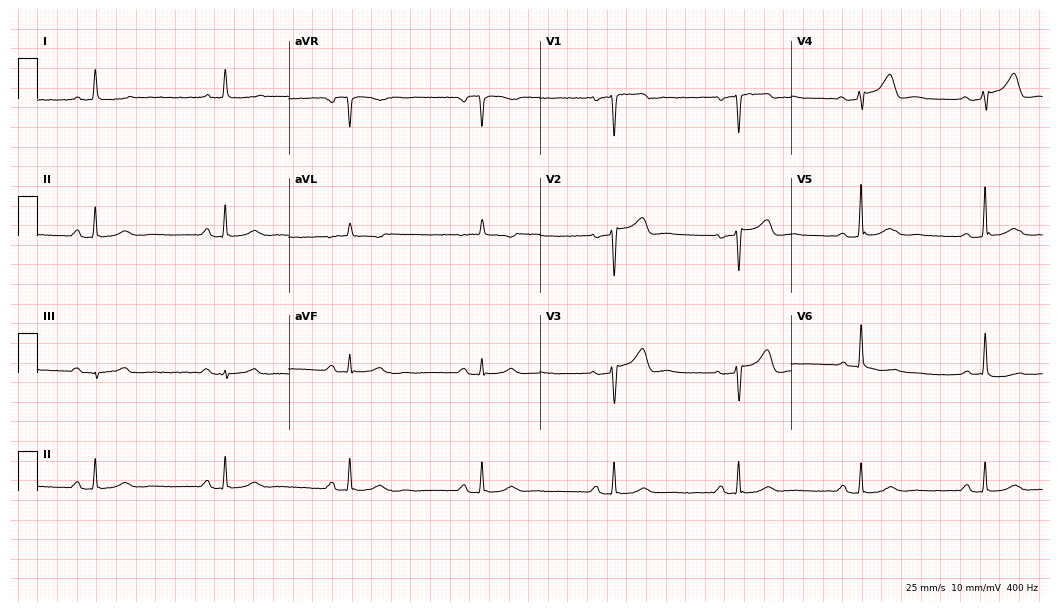
Resting 12-lead electrocardiogram. Patient: a woman, 46 years old. The tracing shows sinus bradycardia (a sinus rate of 50 beats per minute or less).